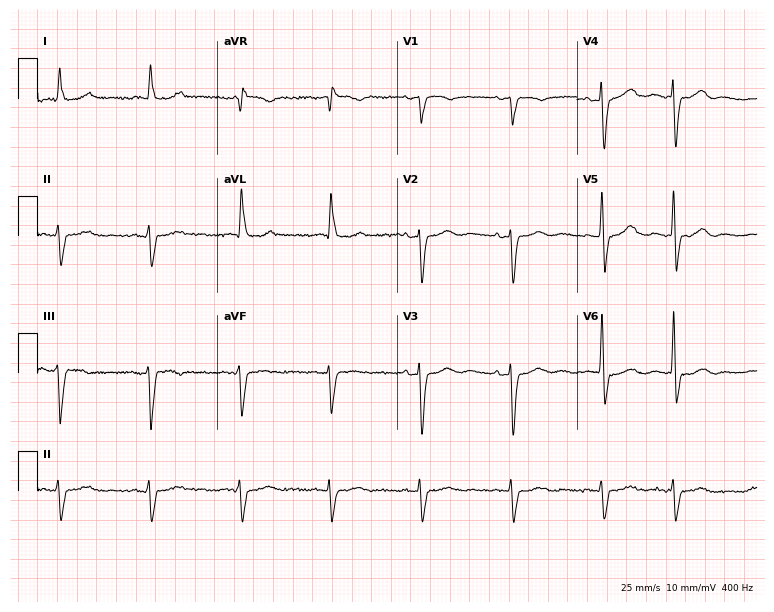
Electrocardiogram, a male aged 90 or older. Interpretation includes left bundle branch block.